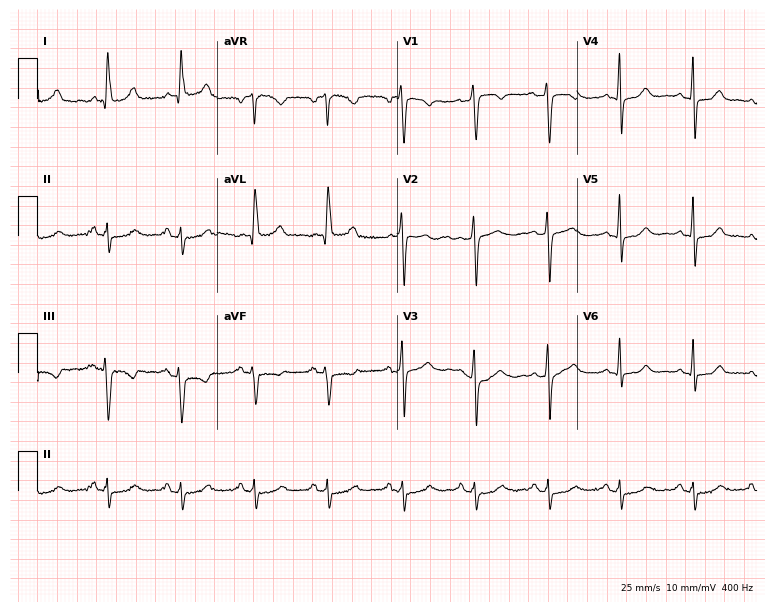
12-lead ECG from a 67-year-old female patient. No first-degree AV block, right bundle branch block (RBBB), left bundle branch block (LBBB), sinus bradycardia, atrial fibrillation (AF) or sinus tachycardia recorded for this tracing.